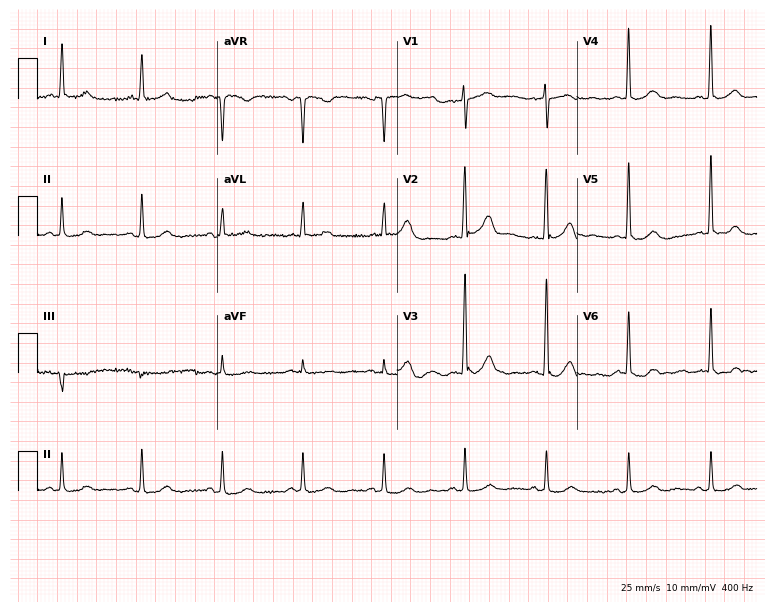
Resting 12-lead electrocardiogram. Patient: an 83-year-old female. None of these six findings is recorded: first-degree AV block, right bundle branch block, left bundle branch block, sinus bradycardia, atrial fibrillation, sinus tachycardia.